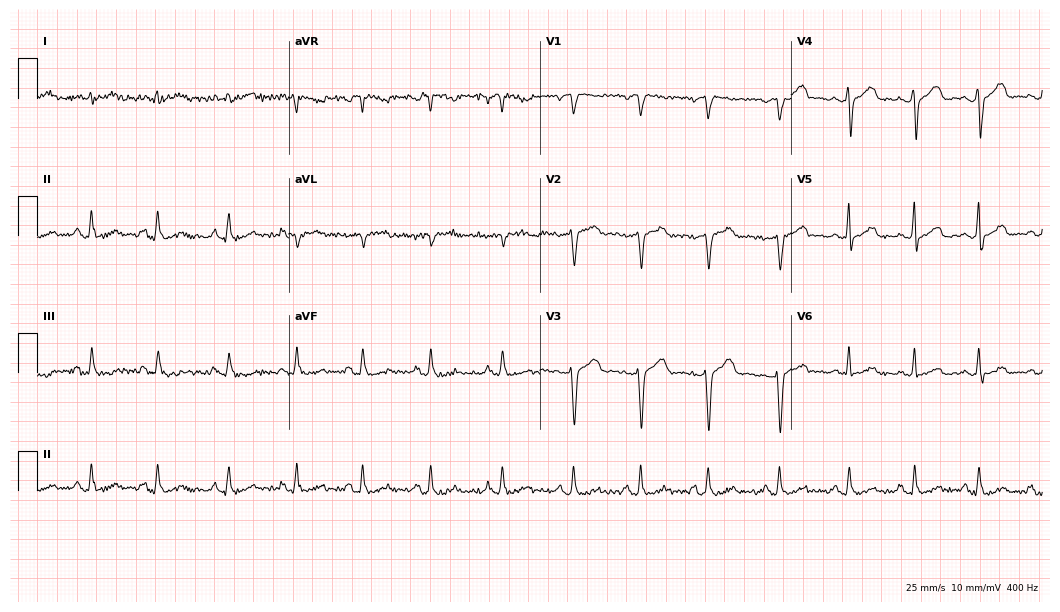
12-lead ECG from a female patient, 39 years old. Screened for six findings — first-degree AV block, right bundle branch block, left bundle branch block, sinus bradycardia, atrial fibrillation, sinus tachycardia — none is recorded. Only these six findings were labelled.